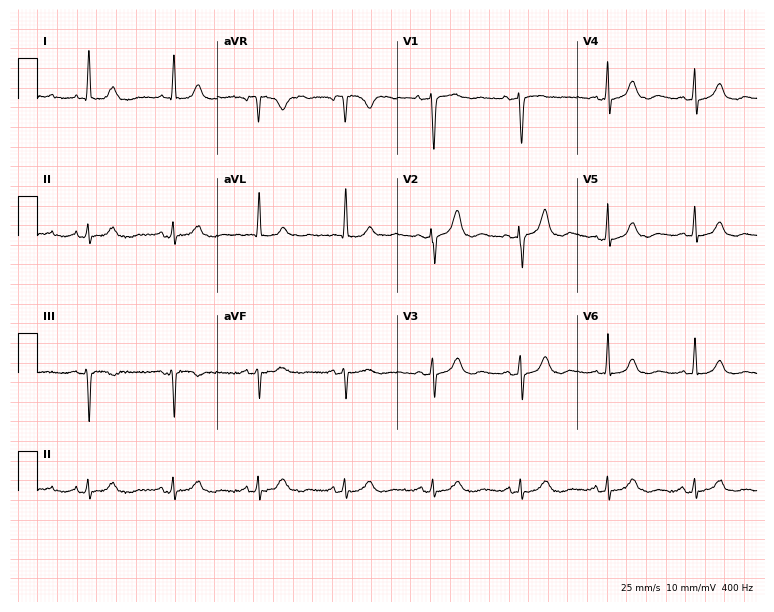
Electrocardiogram, an 83-year-old female patient. Overall reading on record: normal ECG.